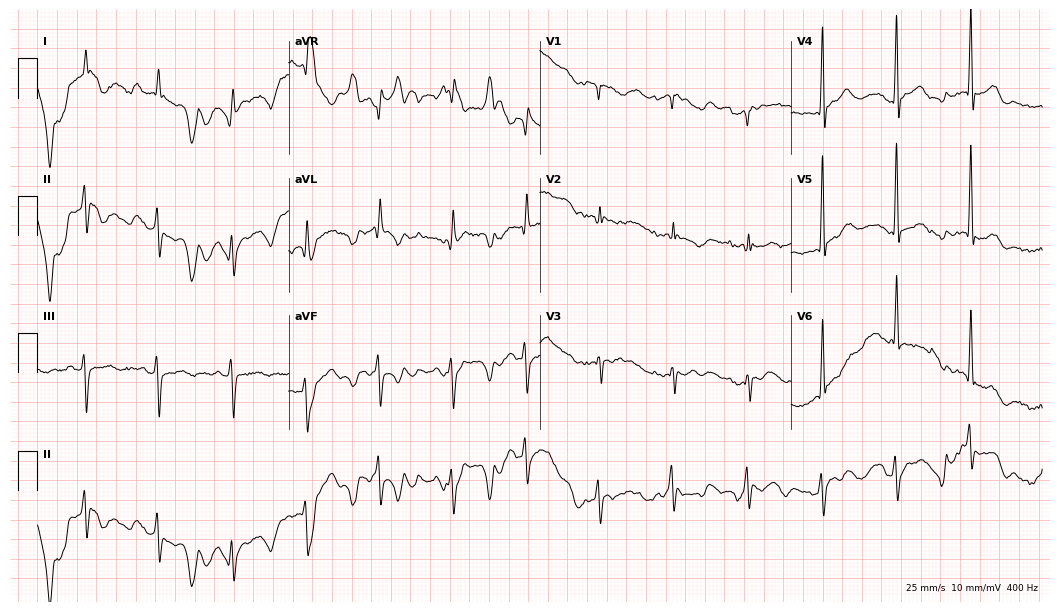
12-lead ECG (10.2-second recording at 400 Hz) from an 80-year-old male. Screened for six findings — first-degree AV block, right bundle branch block (RBBB), left bundle branch block (LBBB), sinus bradycardia, atrial fibrillation (AF), sinus tachycardia — none is recorded.